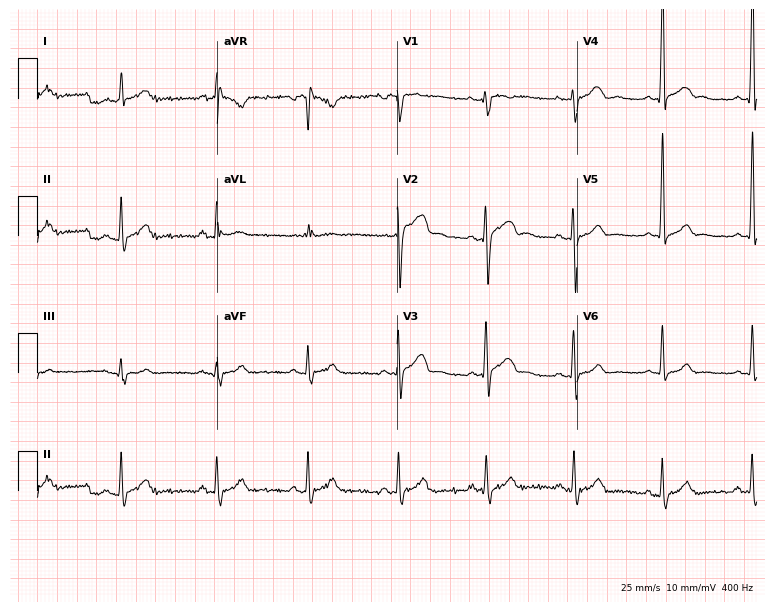
Standard 12-lead ECG recorded from a 24-year-old male patient. Read as a normal ECG.